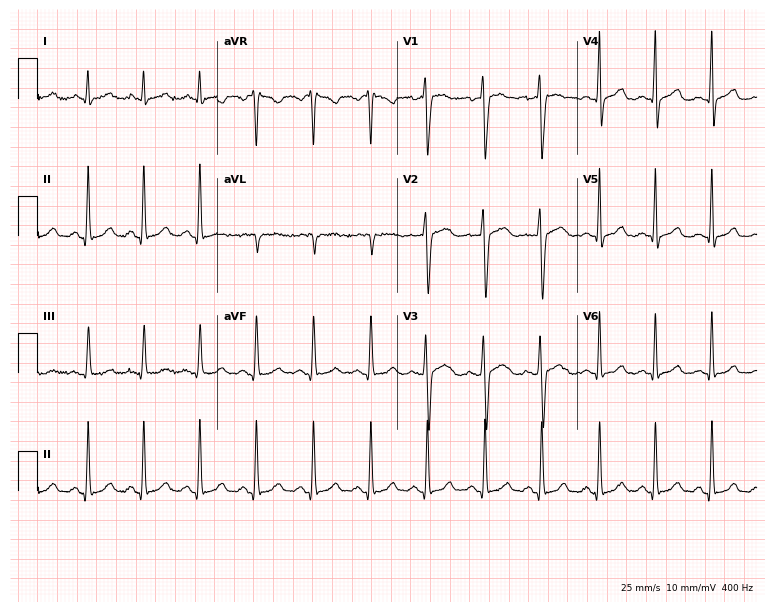
12-lead ECG from a female patient, 37 years old (7.3-second recording at 400 Hz). Shows sinus tachycardia (a sinus rate of 100 beats per minute or more).